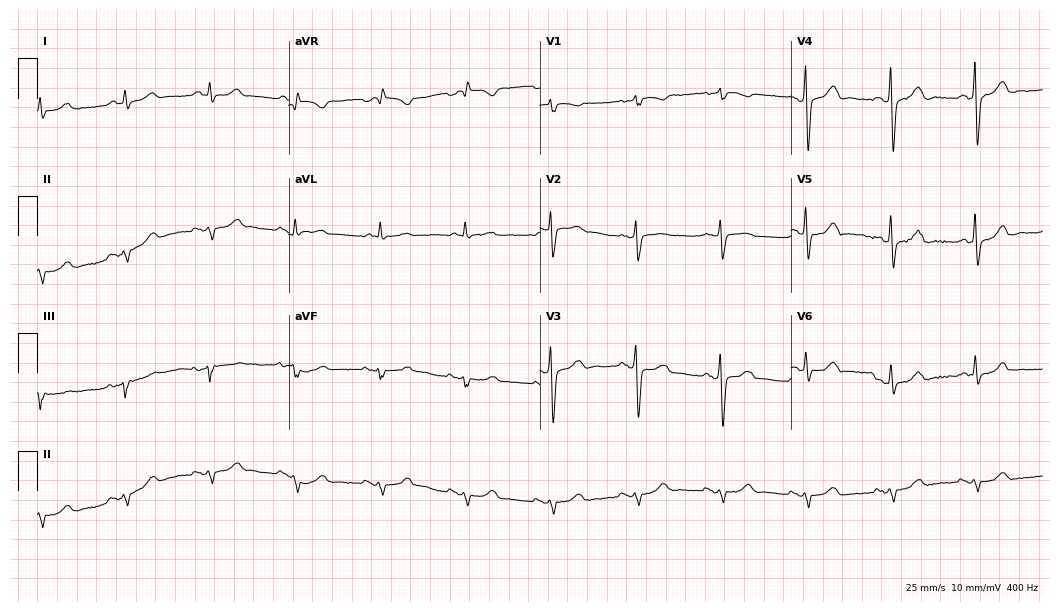
ECG (10.2-second recording at 400 Hz) — a 79-year-old male. Screened for six findings — first-degree AV block, right bundle branch block, left bundle branch block, sinus bradycardia, atrial fibrillation, sinus tachycardia — none is recorded. Only these six findings were labelled.